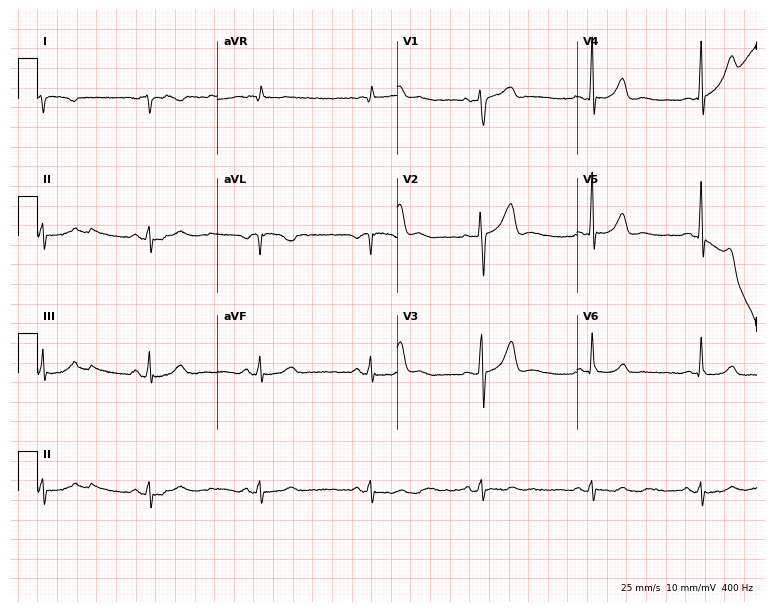
Standard 12-lead ECG recorded from a male patient, 58 years old (7.3-second recording at 400 Hz). None of these six findings is recorded: first-degree AV block, right bundle branch block, left bundle branch block, sinus bradycardia, atrial fibrillation, sinus tachycardia. Only these six findings were labelled.